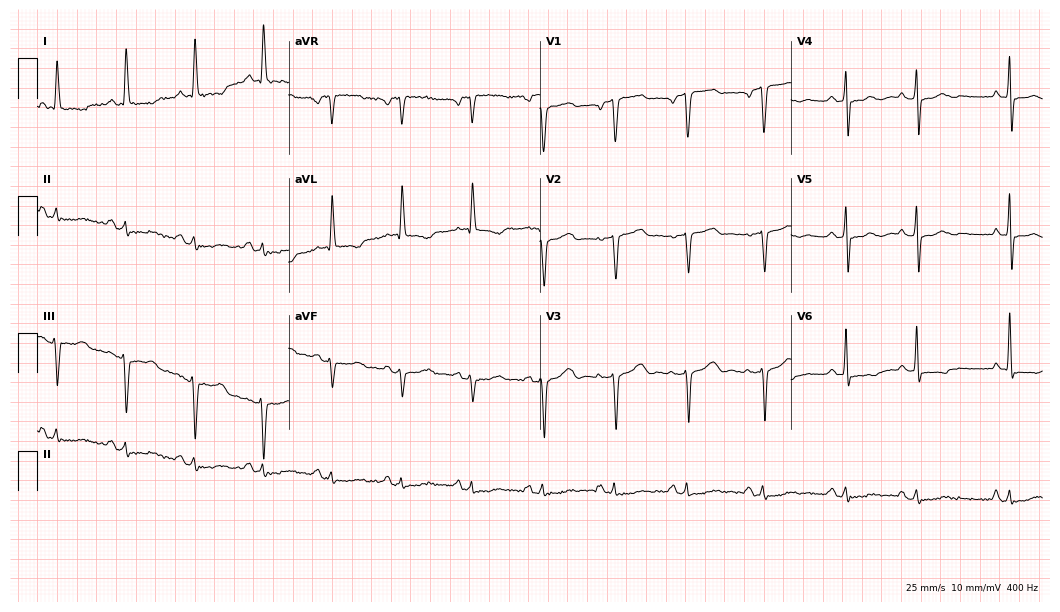
Standard 12-lead ECG recorded from a male, 67 years old (10.2-second recording at 400 Hz). None of these six findings is recorded: first-degree AV block, right bundle branch block, left bundle branch block, sinus bradycardia, atrial fibrillation, sinus tachycardia. Findings outside these six are not listed.